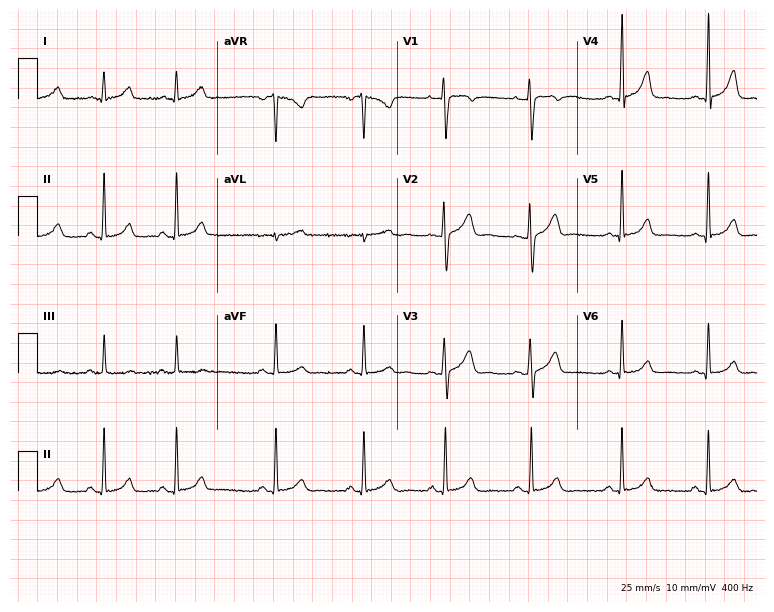
ECG — a female, 43 years old. Screened for six findings — first-degree AV block, right bundle branch block (RBBB), left bundle branch block (LBBB), sinus bradycardia, atrial fibrillation (AF), sinus tachycardia — none is recorded.